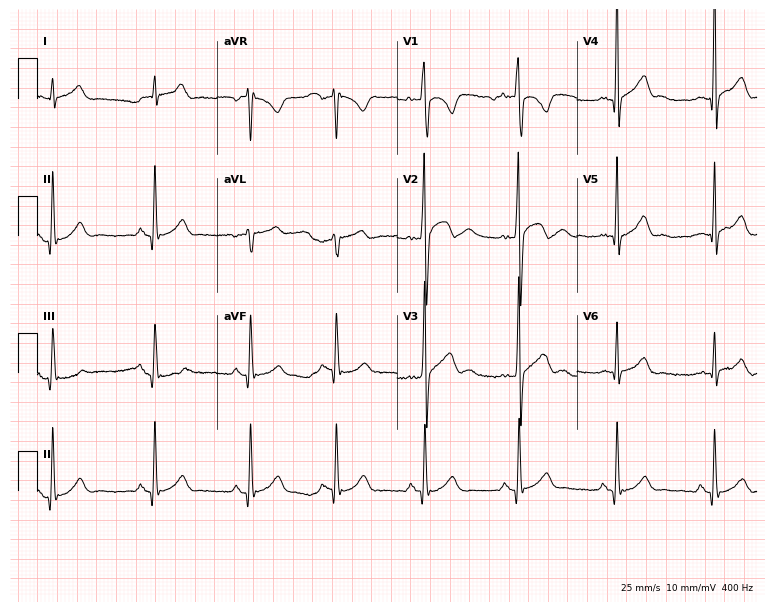
ECG — a man, 36 years old. Screened for six findings — first-degree AV block, right bundle branch block (RBBB), left bundle branch block (LBBB), sinus bradycardia, atrial fibrillation (AF), sinus tachycardia — none is recorded.